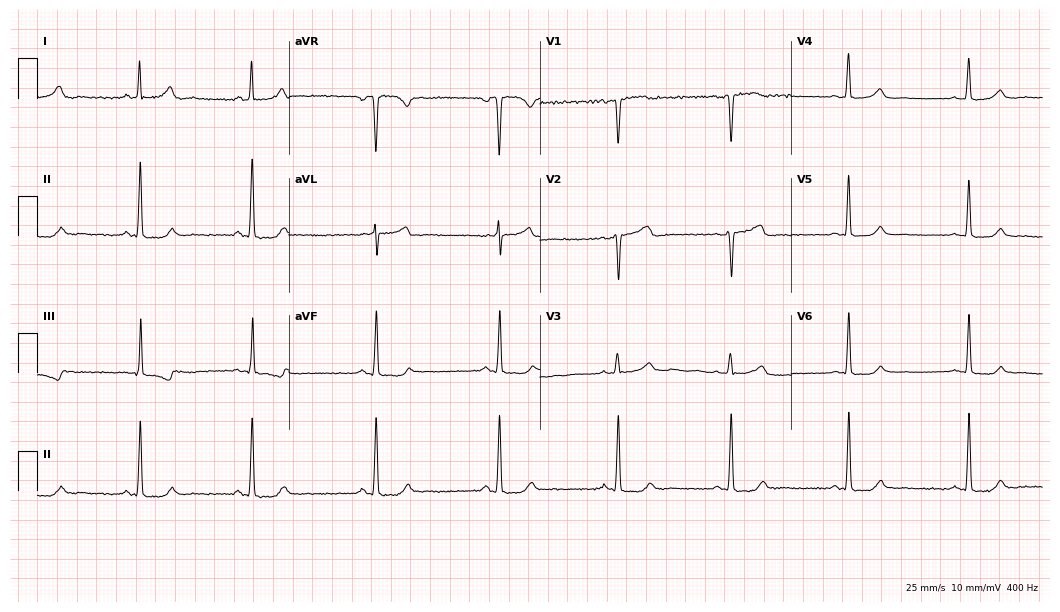
Standard 12-lead ECG recorded from a female, 44 years old (10.2-second recording at 400 Hz). Read as a normal ECG.